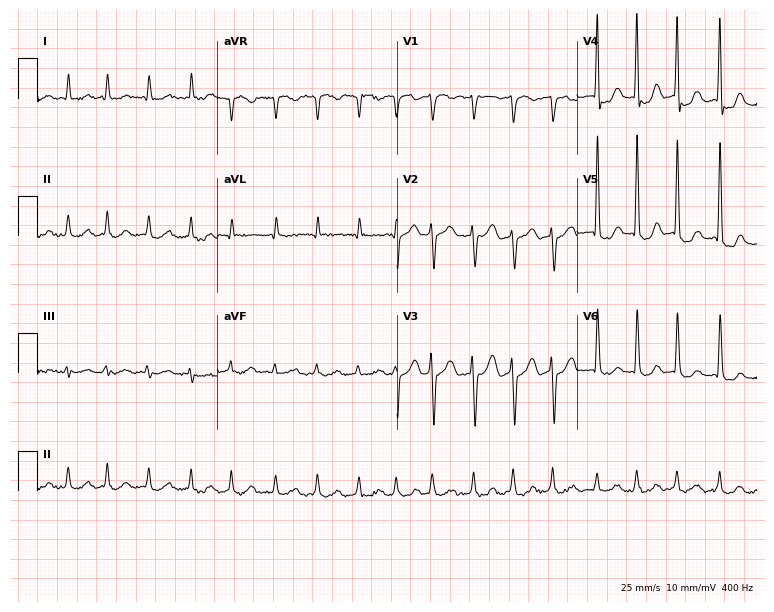
Electrocardiogram, a male patient, 85 years old. Interpretation includes atrial fibrillation.